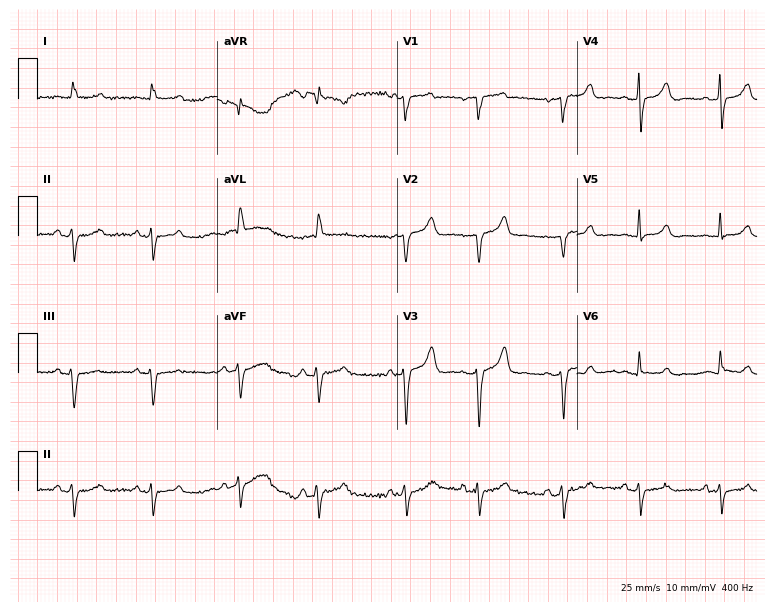
Resting 12-lead electrocardiogram (7.3-second recording at 400 Hz). Patient: an 83-year-old man. None of these six findings is recorded: first-degree AV block, right bundle branch block, left bundle branch block, sinus bradycardia, atrial fibrillation, sinus tachycardia. Only these six findings were labelled.